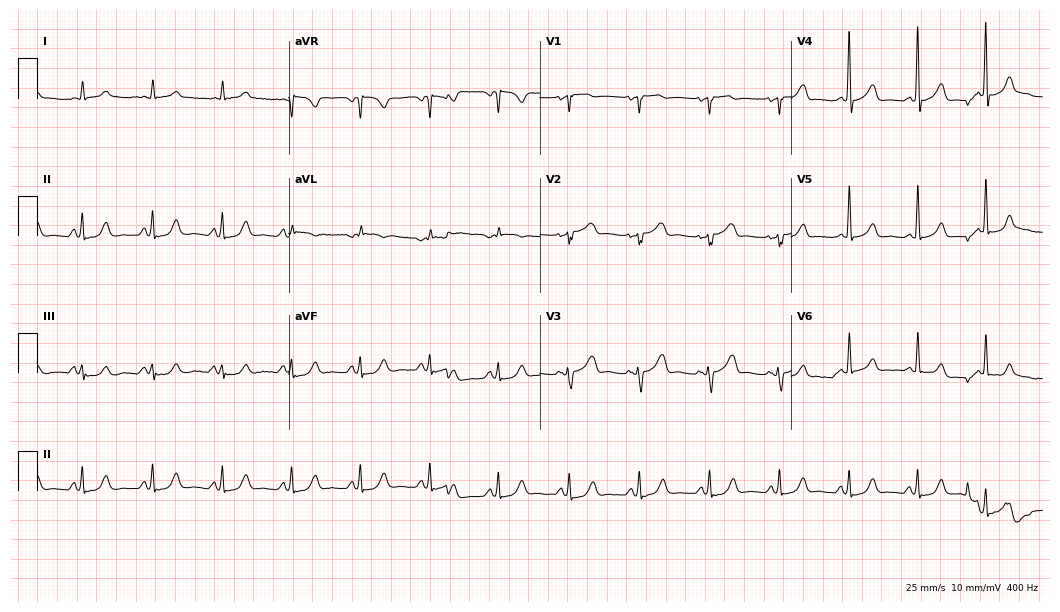
Electrocardiogram (10.2-second recording at 400 Hz), a female, 84 years old. Of the six screened findings (first-degree AV block, right bundle branch block (RBBB), left bundle branch block (LBBB), sinus bradycardia, atrial fibrillation (AF), sinus tachycardia), none is recorded. Findings outside these six are not listed.